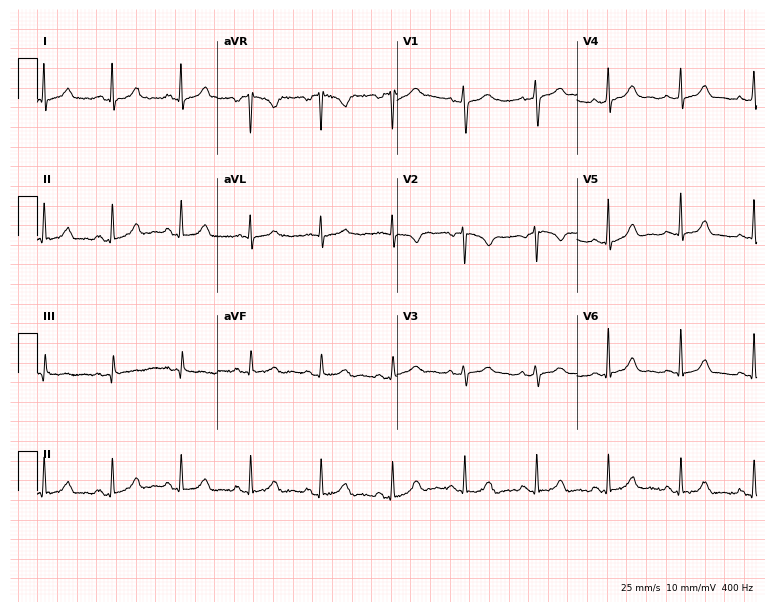
12-lead ECG (7.3-second recording at 400 Hz) from a female, 38 years old. Labelled as a normal ECG.